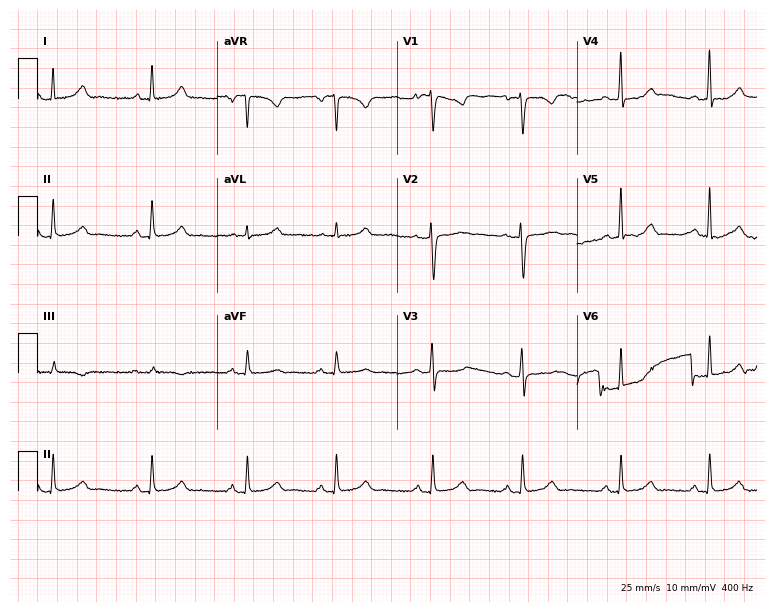
12-lead ECG (7.3-second recording at 400 Hz) from a 32-year-old female patient. Labelled as a normal ECG.